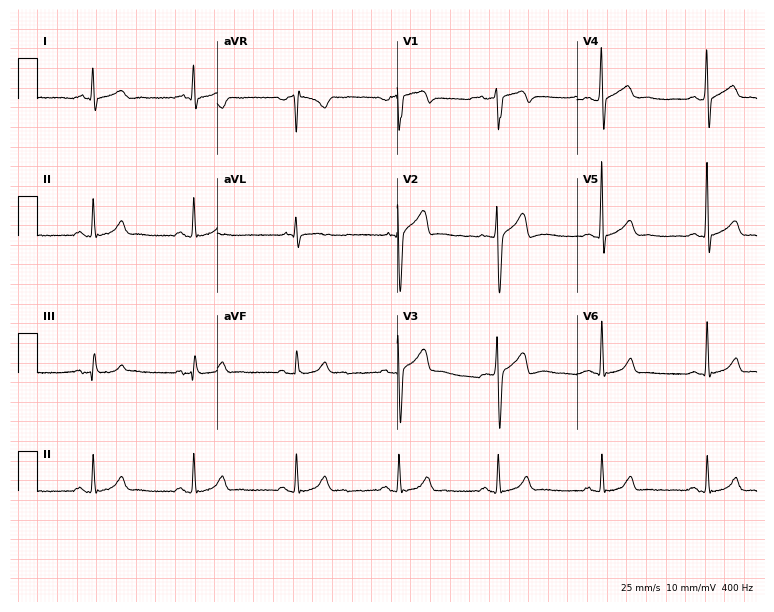
12-lead ECG from a 27-year-old male patient. Labelled as a normal ECG.